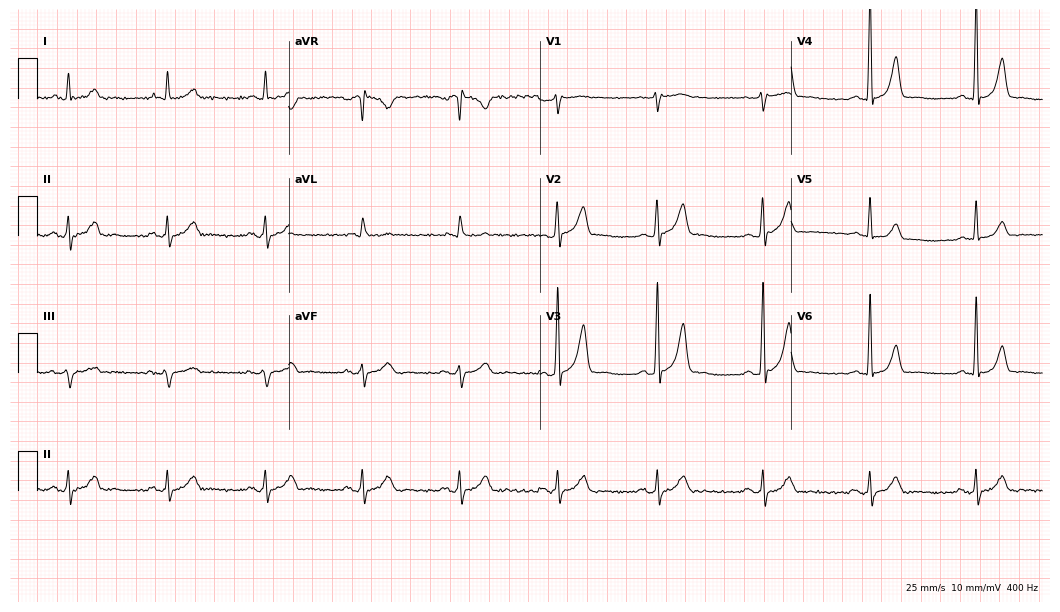
12-lead ECG from a male, 71 years old. Recorded interpretation: within normal limits.